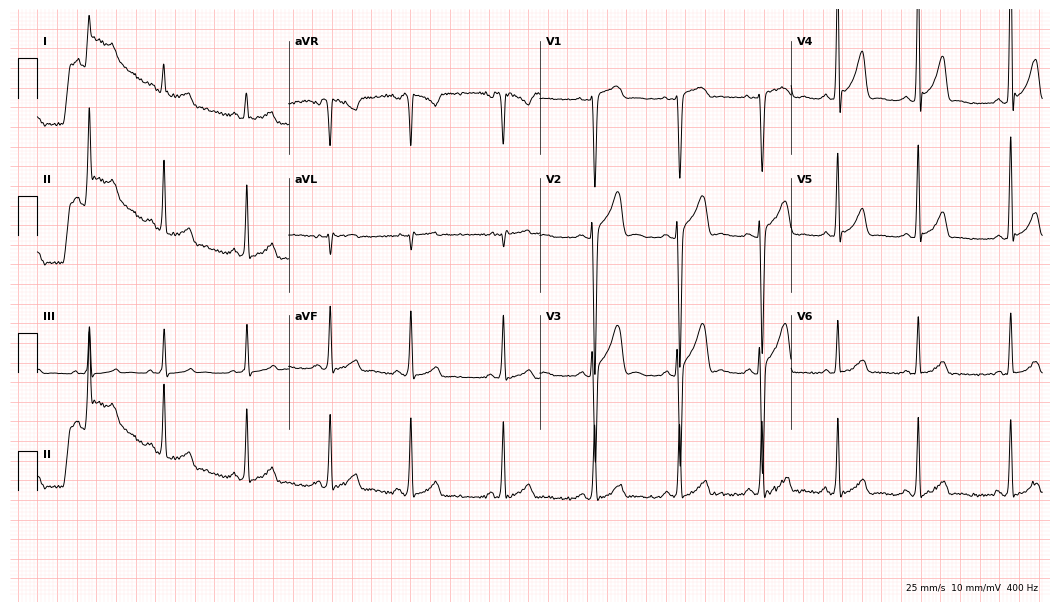
Resting 12-lead electrocardiogram (10.2-second recording at 400 Hz). Patient: a male, 25 years old. None of these six findings is recorded: first-degree AV block, right bundle branch block, left bundle branch block, sinus bradycardia, atrial fibrillation, sinus tachycardia.